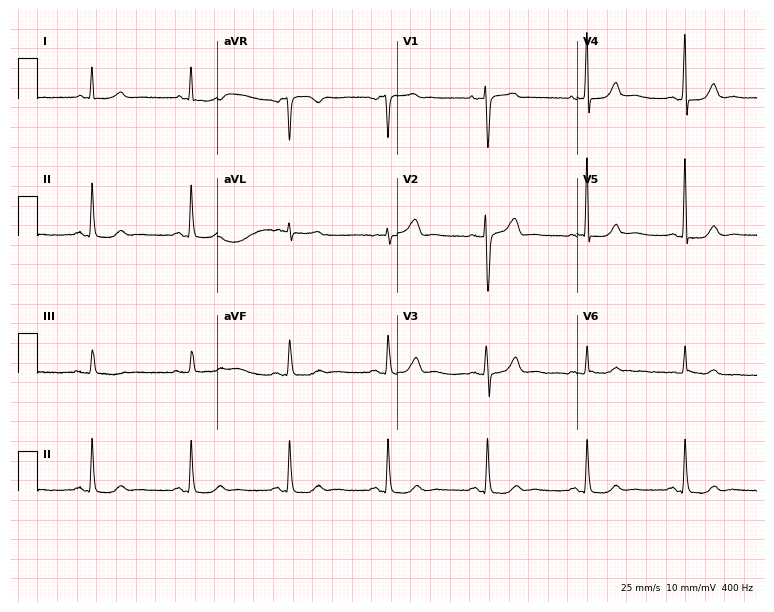
ECG — a female patient, 56 years old. Screened for six findings — first-degree AV block, right bundle branch block, left bundle branch block, sinus bradycardia, atrial fibrillation, sinus tachycardia — none is recorded.